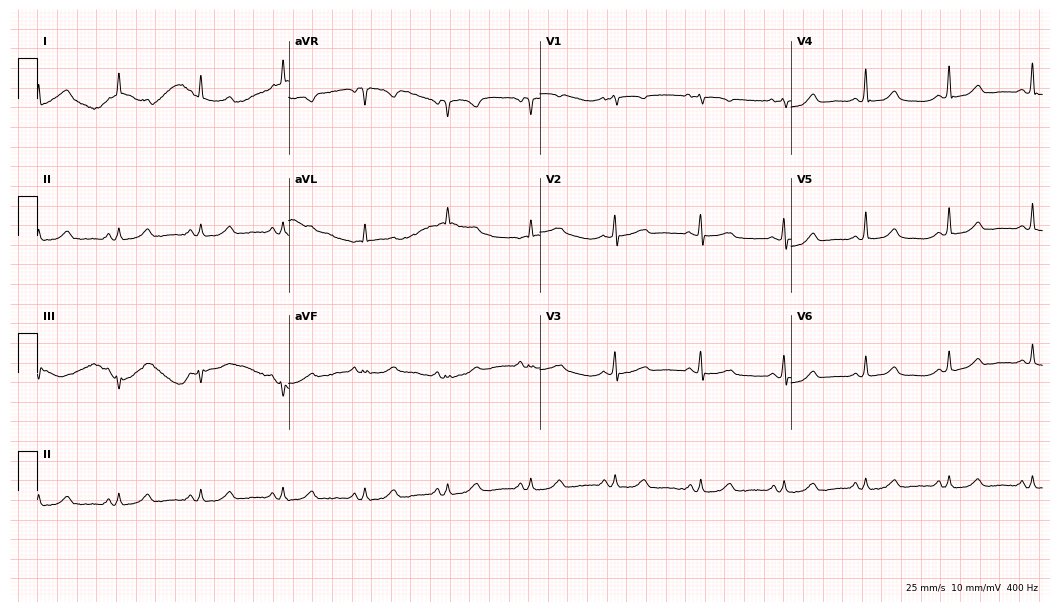
Electrocardiogram, a 74-year-old woman. Overall reading on record: normal ECG.